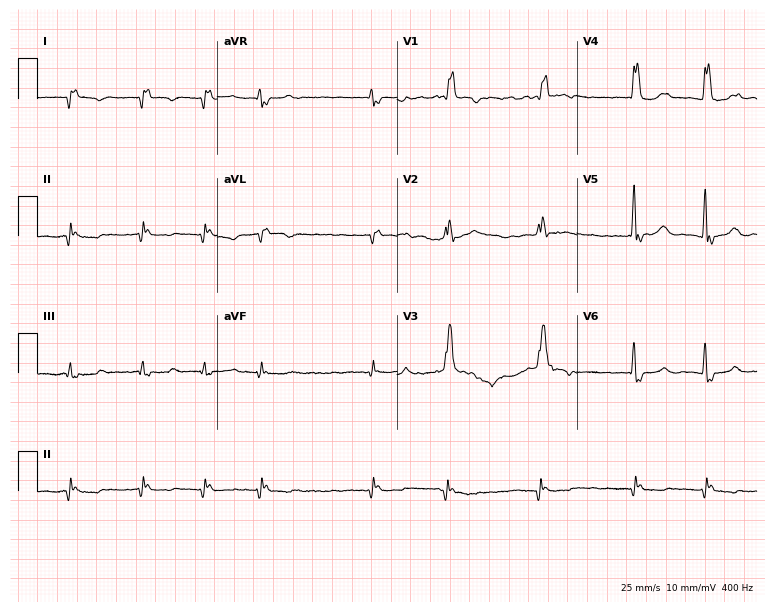
ECG — a female, 82 years old. Findings include right bundle branch block (RBBB), atrial fibrillation (AF).